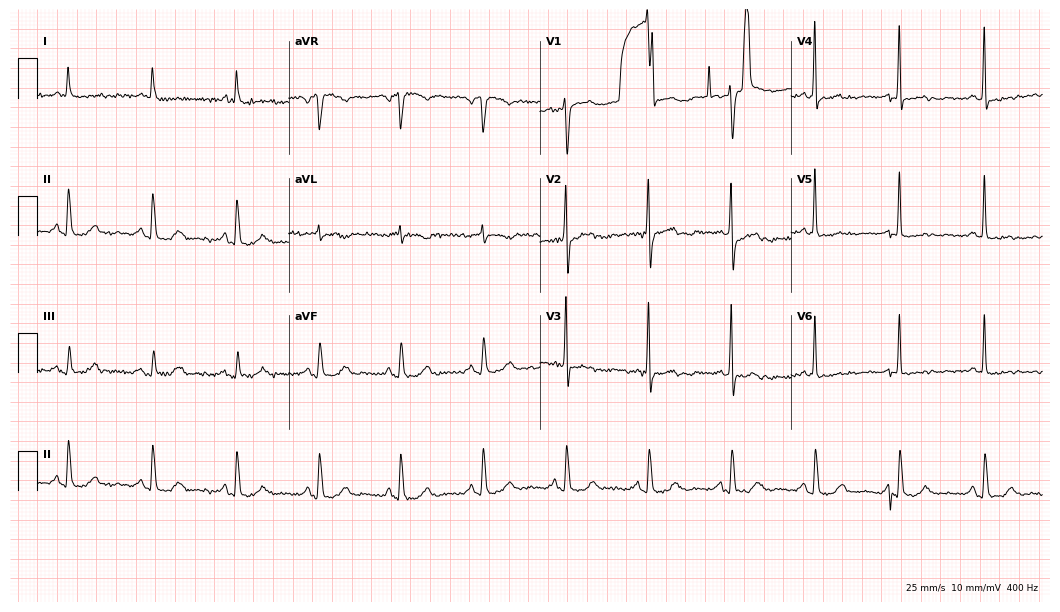
Resting 12-lead electrocardiogram (10.2-second recording at 400 Hz). Patient: a female, 84 years old. None of these six findings is recorded: first-degree AV block, right bundle branch block, left bundle branch block, sinus bradycardia, atrial fibrillation, sinus tachycardia.